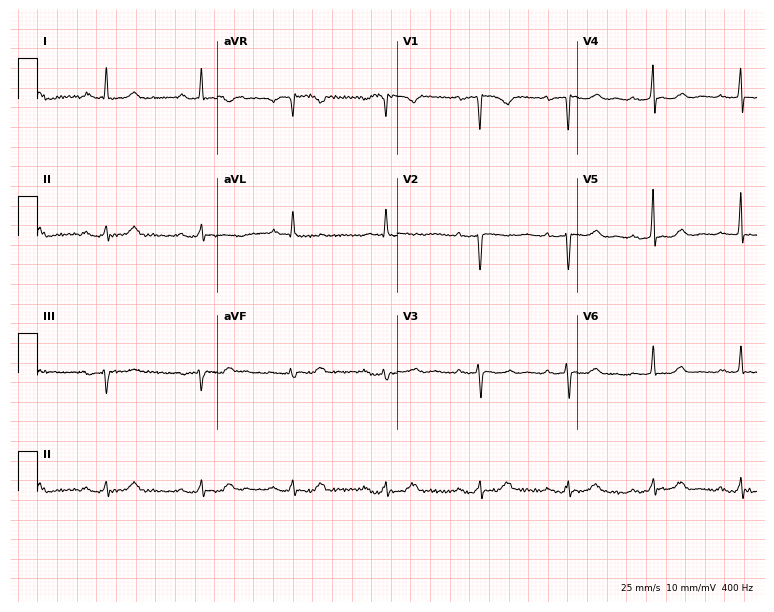
Standard 12-lead ECG recorded from a female, 60 years old (7.3-second recording at 400 Hz). None of these six findings is recorded: first-degree AV block, right bundle branch block, left bundle branch block, sinus bradycardia, atrial fibrillation, sinus tachycardia. Only these six findings were labelled.